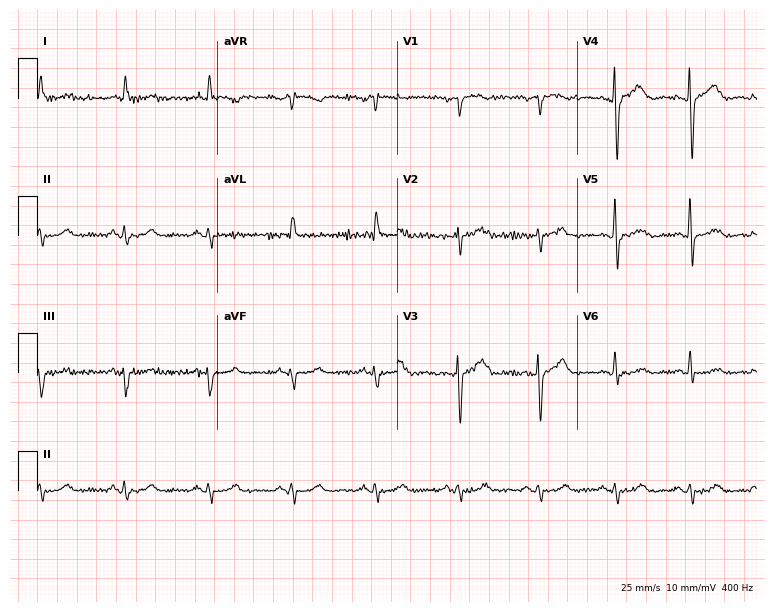
Resting 12-lead electrocardiogram. Patient: a woman, 67 years old. None of these six findings is recorded: first-degree AV block, right bundle branch block, left bundle branch block, sinus bradycardia, atrial fibrillation, sinus tachycardia.